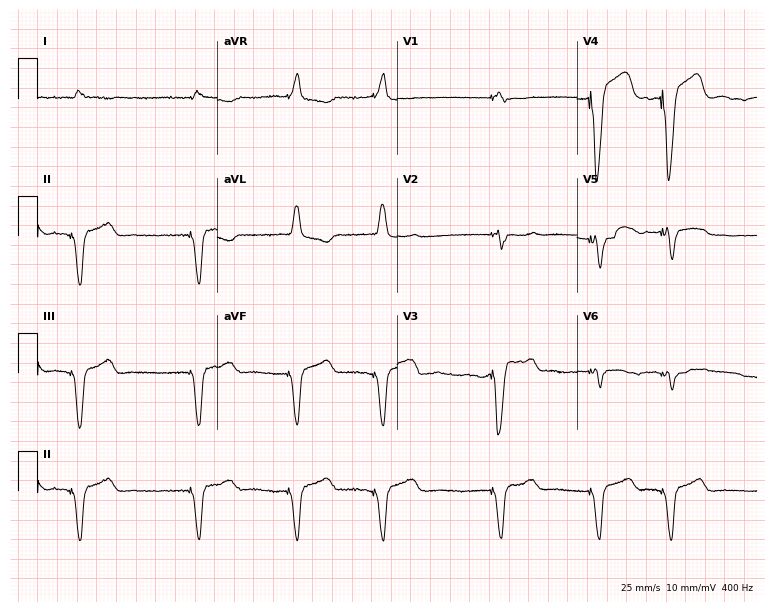
Electrocardiogram, a 75-year-old male patient. Of the six screened findings (first-degree AV block, right bundle branch block (RBBB), left bundle branch block (LBBB), sinus bradycardia, atrial fibrillation (AF), sinus tachycardia), none is recorded. Findings outside these six are not listed.